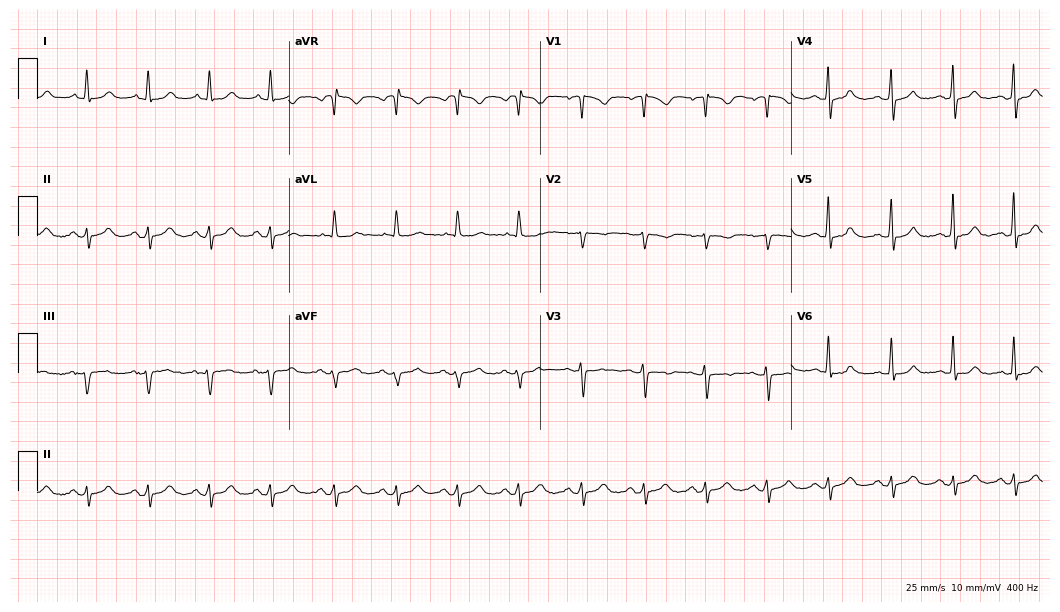
12-lead ECG (10.2-second recording at 400 Hz) from a woman, 66 years old. Screened for six findings — first-degree AV block, right bundle branch block, left bundle branch block, sinus bradycardia, atrial fibrillation, sinus tachycardia — none is recorded. Other findings, if any, are not listed.